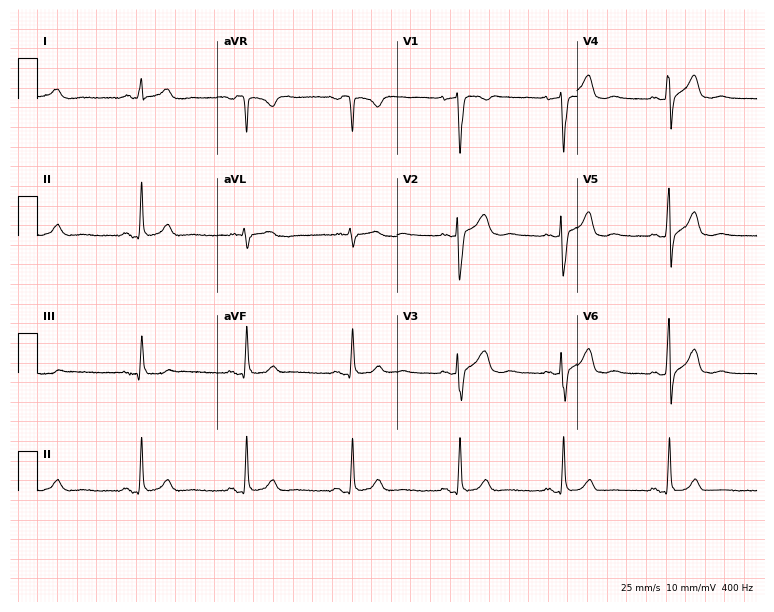
ECG — a man, 63 years old. Findings include sinus bradycardia (a sinus rate of 50 beats per minute or less).